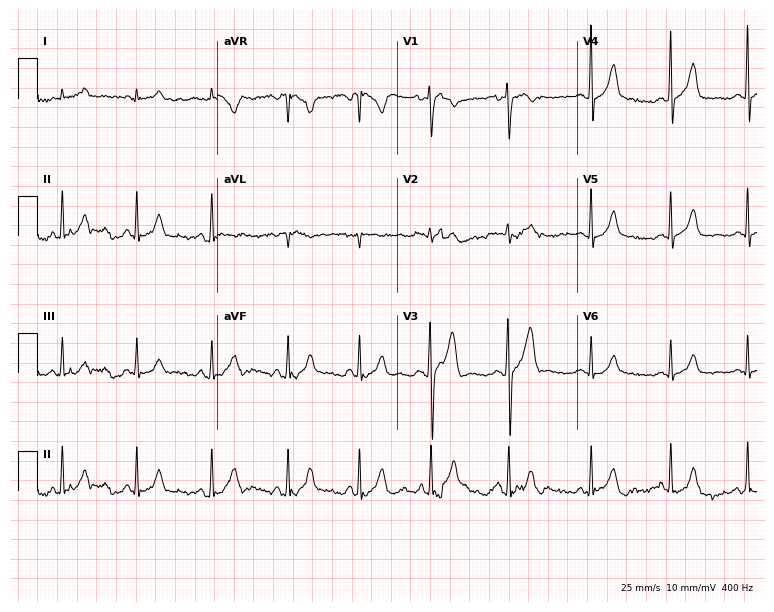
ECG — a 25-year-old man. Labelled as a normal ECG.